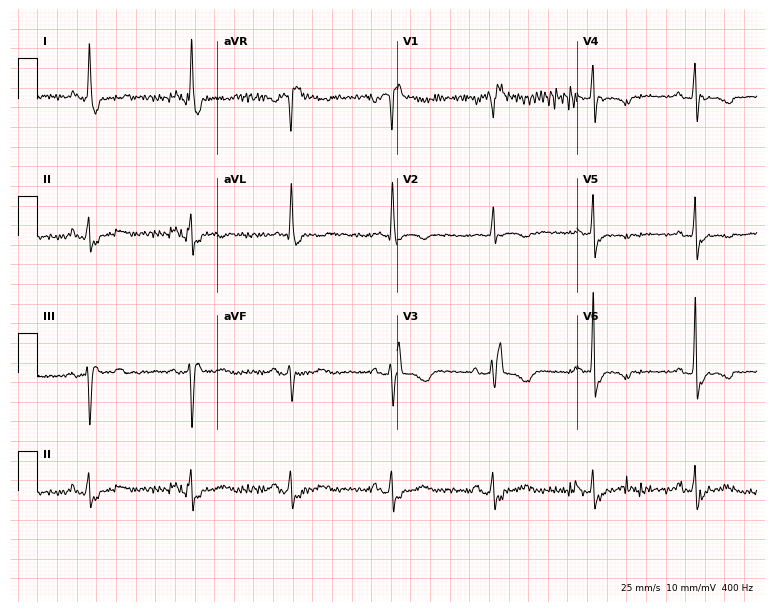
Standard 12-lead ECG recorded from a woman, 69 years old (7.3-second recording at 400 Hz). The tracing shows right bundle branch block.